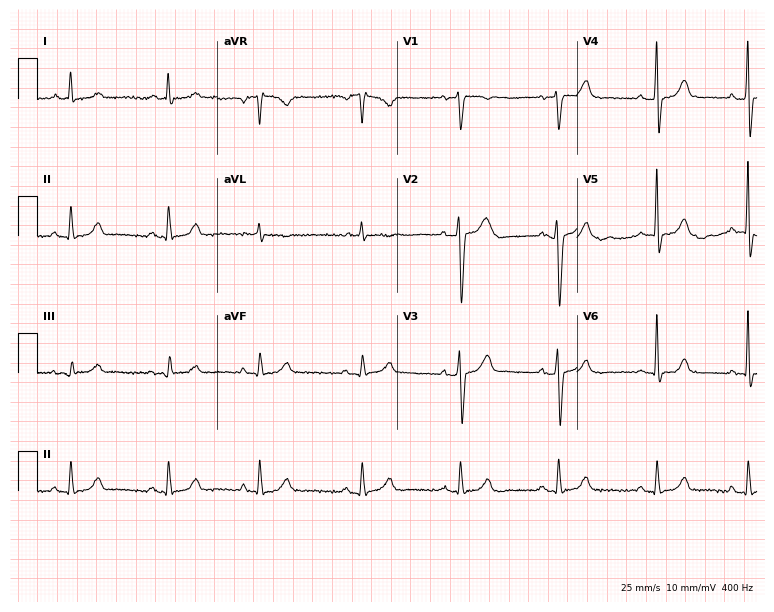
Resting 12-lead electrocardiogram (7.3-second recording at 400 Hz). Patient: a male, 81 years old. Read as a normal ECG.